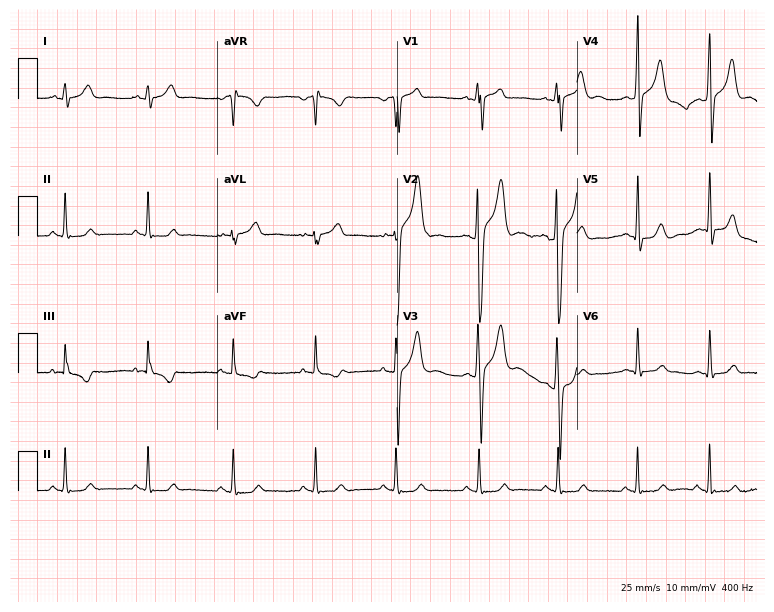
Electrocardiogram (7.3-second recording at 400 Hz), an 18-year-old man. Overall reading on record: normal ECG.